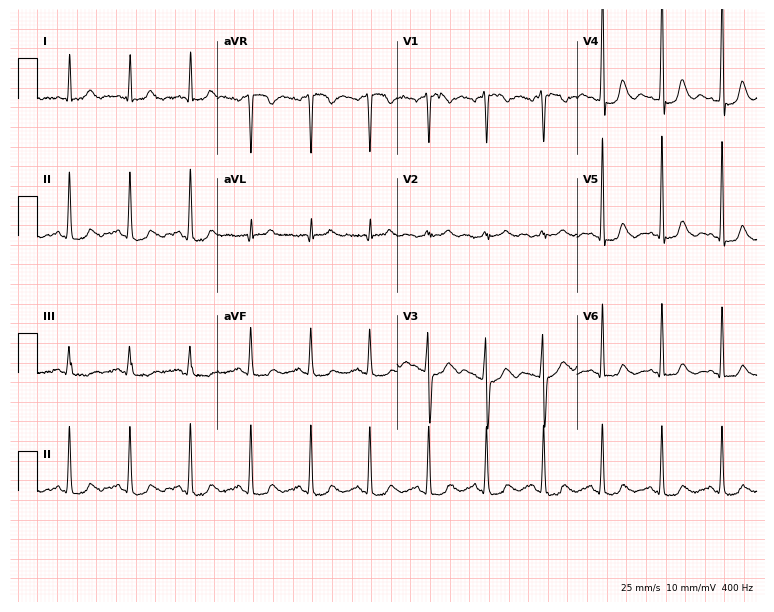
Resting 12-lead electrocardiogram (7.3-second recording at 400 Hz). Patient: a woman, 27 years old. None of these six findings is recorded: first-degree AV block, right bundle branch block, left bundle branch block, sinus bradycardia, atrial fibrillation, sinus tachycardia. Only these six findings were labelled.